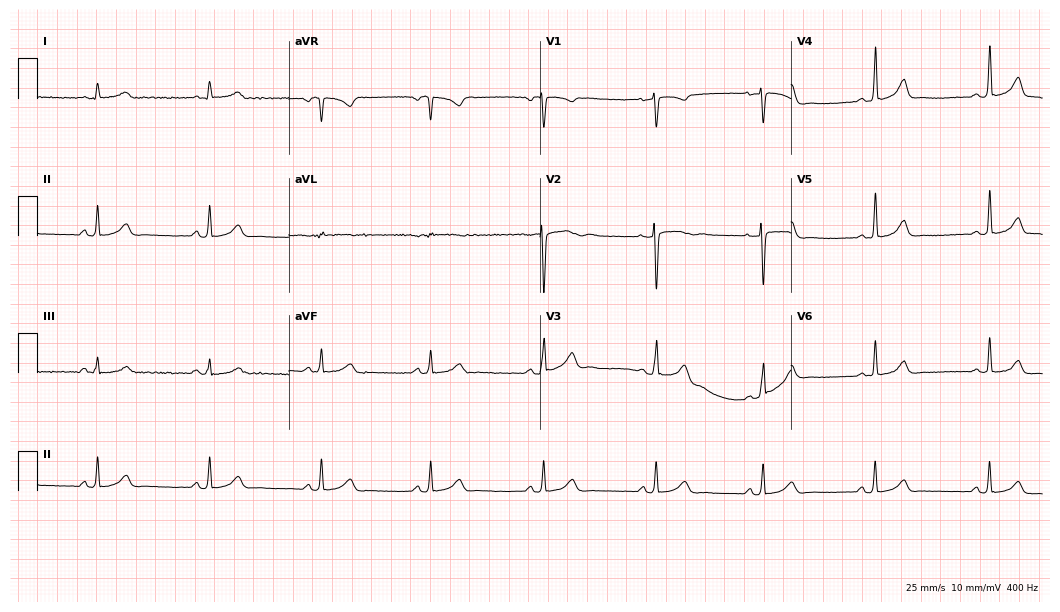
Standard 12-lead ECG recorded from a 38-year-old female patient (10.2-second recording at 400 Hz). Read as a normal ECG.